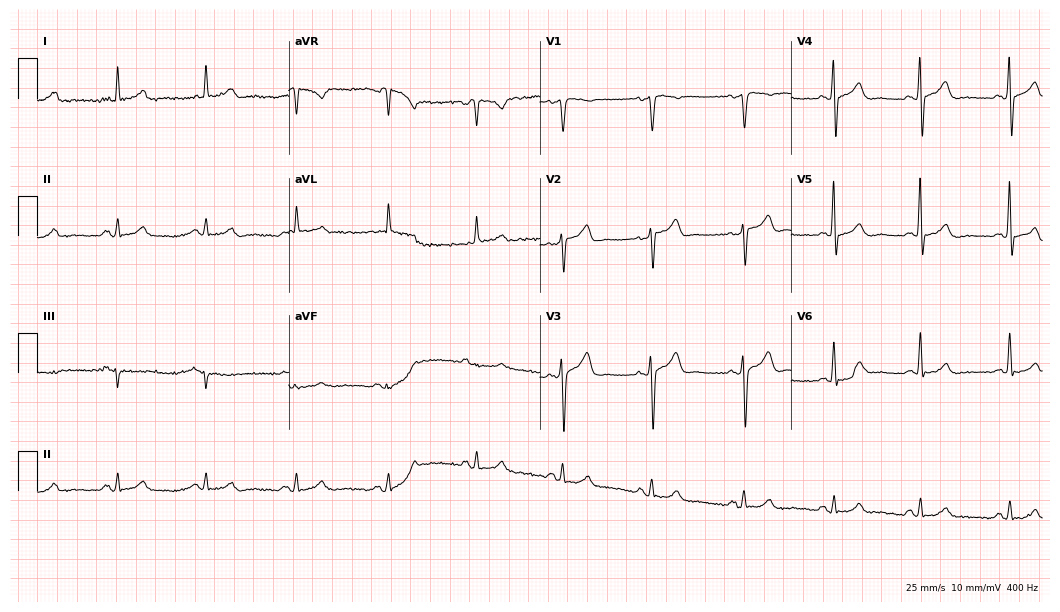
Resting 12-lead electrocardiogram. Patient: a male, 72 years old. None of these six findings is recorded: first-degree AV block, right bundle branch block, left bundle branch block, sinus bradycardia, atrial fibrillation, sinus tachycardia.